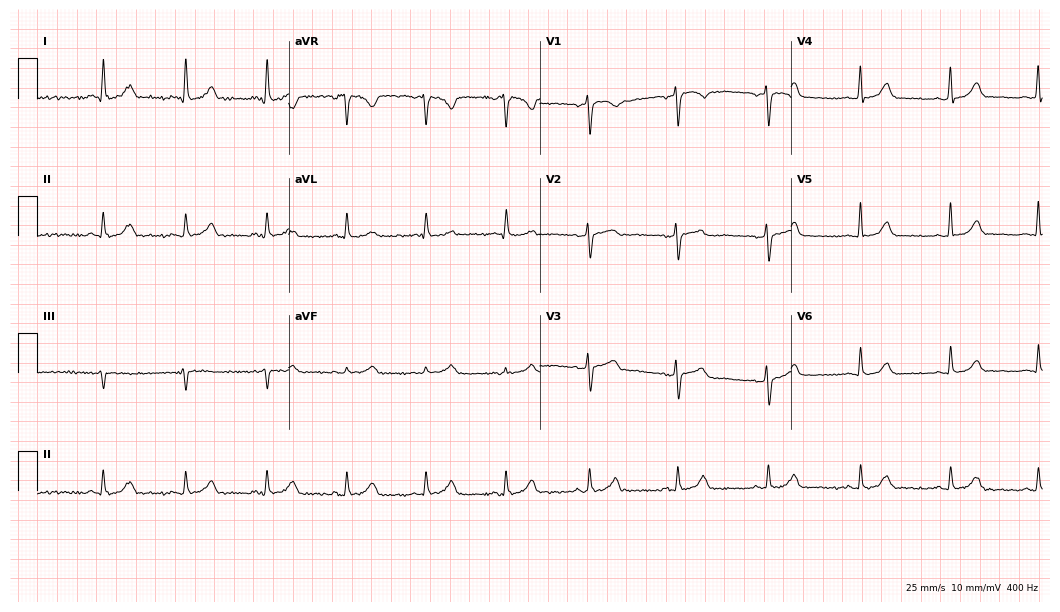
Electrocardiogram, a 59-year-old female patient. Of the six screened findings (first-degree AV block, right bundle branch block (RBBB), left bundle branch block (LBBB), sinus bradycardia, atrial fibrillation (AF), sinus tachycardia), none is recorded.